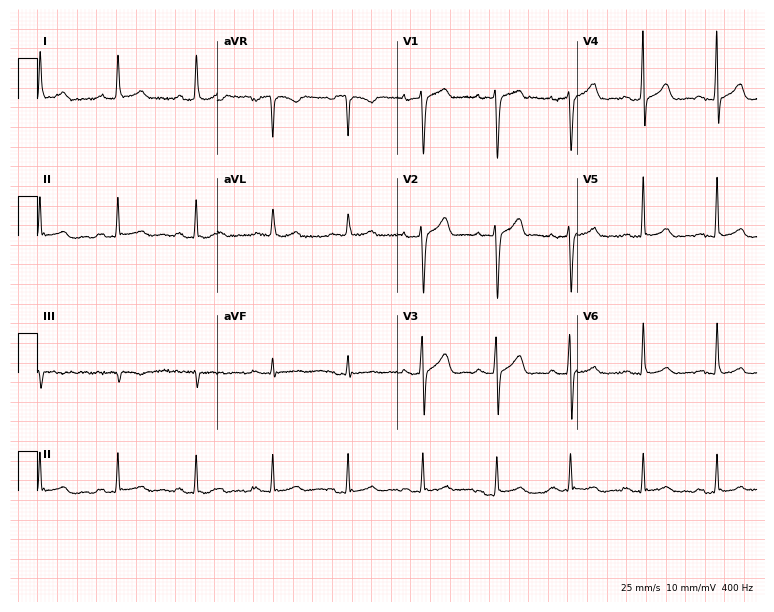
Resting 12-lead electrocardiogram. Patient: a man, 42 years old. Read as a normal ECG.